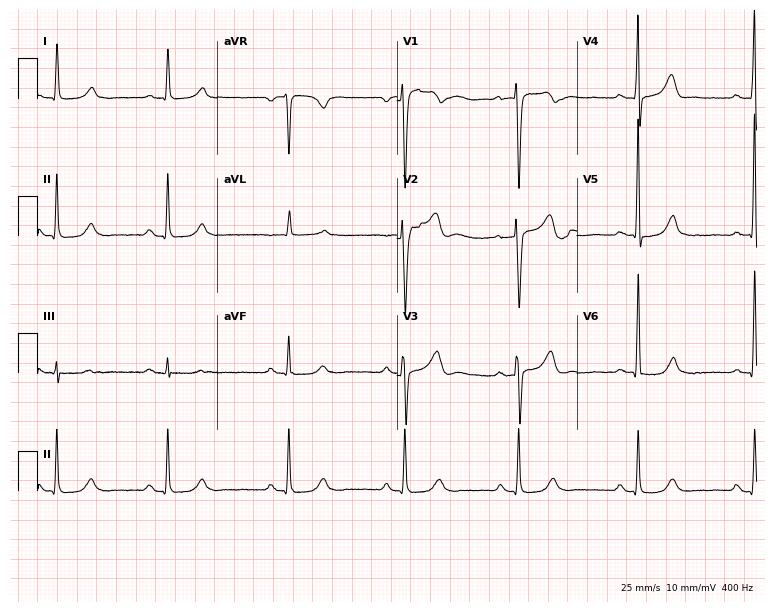
ECG (7.3-second recording at 400 Hz) — a 63-year-old male patient. Findings include sinus bradycardia (a sinus rate of 50 beats per minute or less).